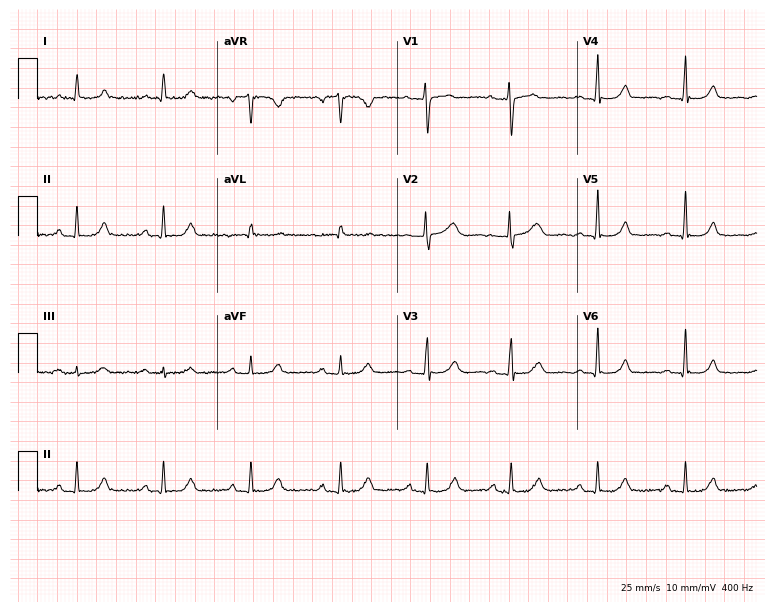
12-lead ECG from a 55-year-old female patient (7.3-second recording at 400 Hz). Recorded interpretation: within normal limits.